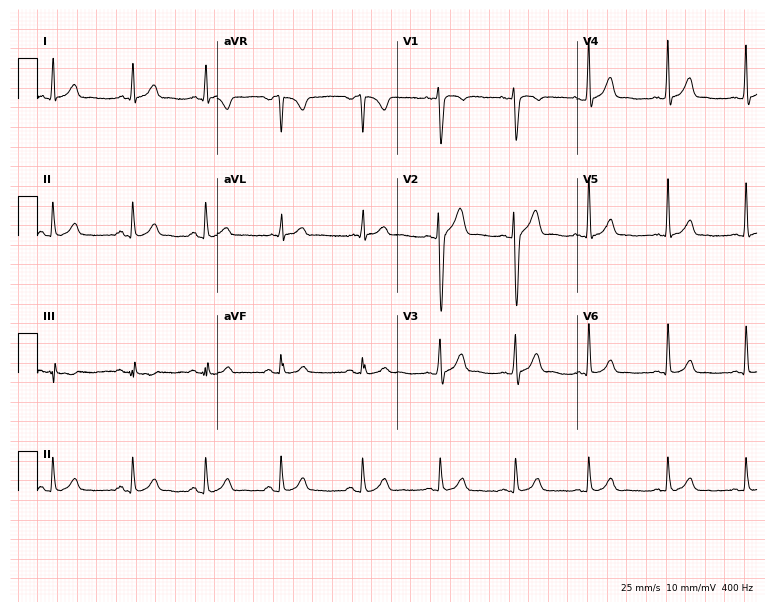
12-lead ECG from an 18-year-old male. Recorded interpretation: within normal limits.